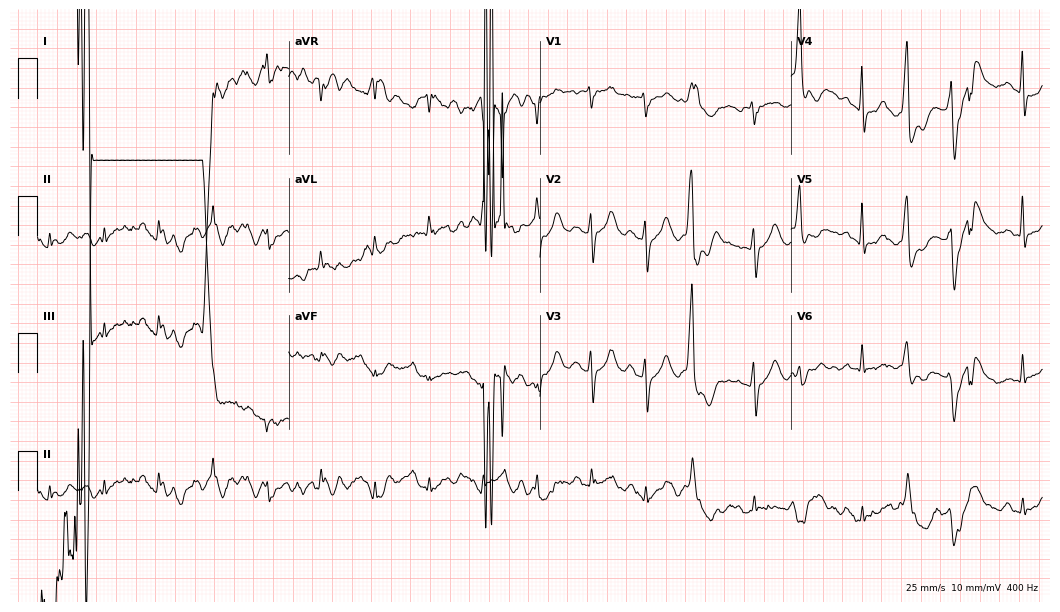
Standard 12-lead ECG recorded from a 76-year-old female patient. None of these six findings is recorded: first-degree AV block, right bundle branch block, left bundle branch block, sinus bradycardia, atrial fibrillation, sinus tachycardia. Only these six findings were labelled.